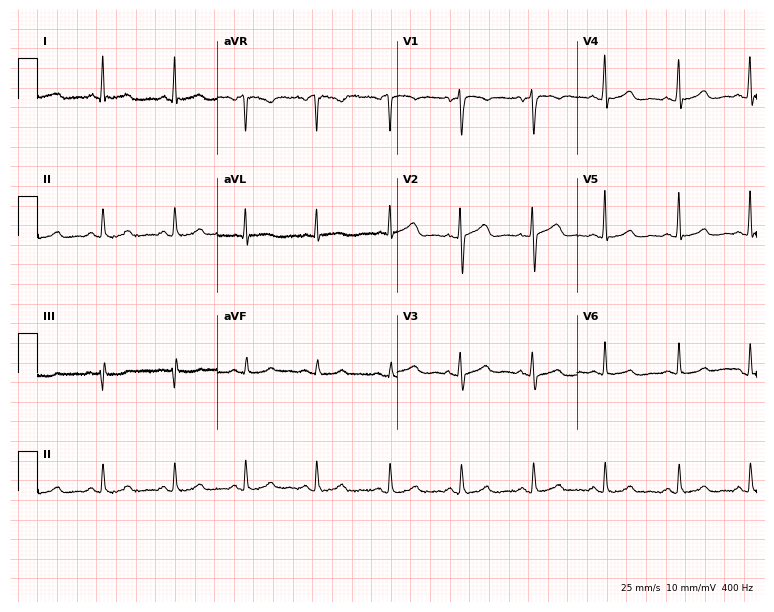
12-lead ECG (7.3-second recording at 400 Hz) from a 46-year-old man. Labelled as a normal ECG.